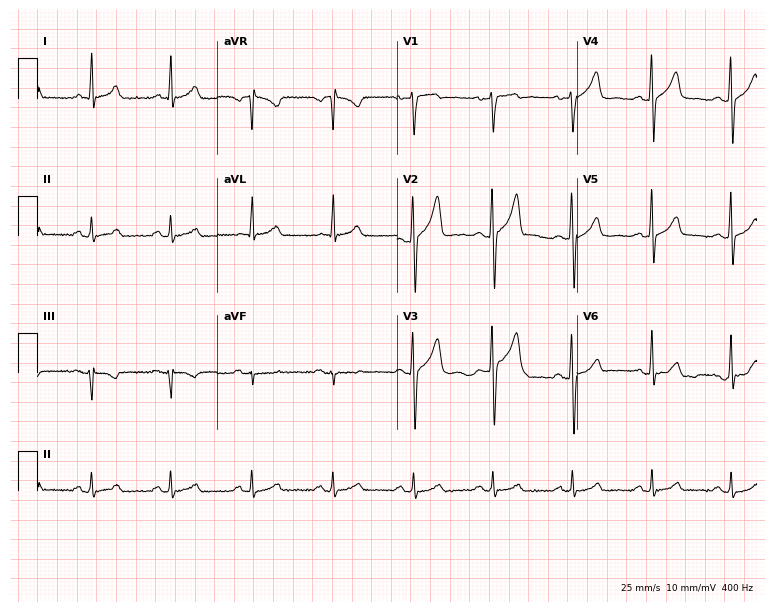
ECG — a 48-year-old male. Labelled as a normal ECG.